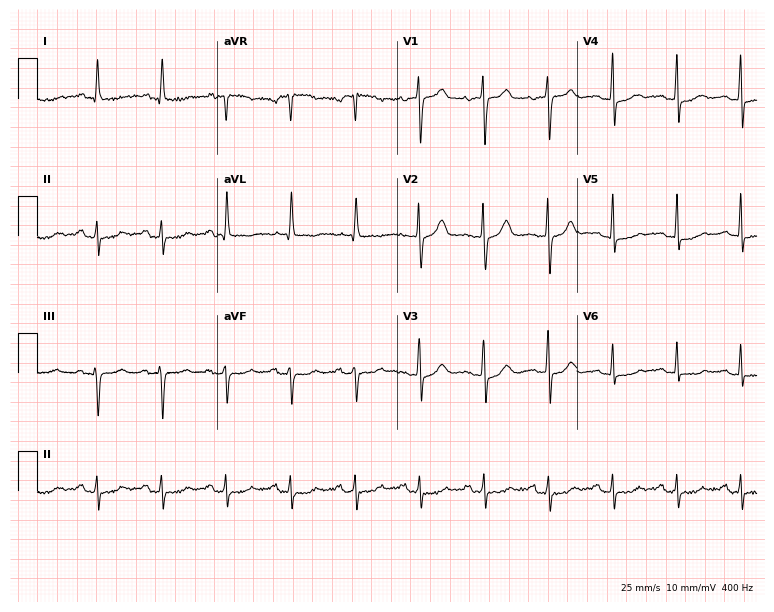
ECG (7.3-second recording at 400 Hz) — a male patient, 69 years old. Screened for six findings — first-degree AV block, right bundle branch block, left bundle branch block, sinus bradycardia, atrial fibrillation, sinus tachycardia — none is recorded. Findings outside these six are not listed.